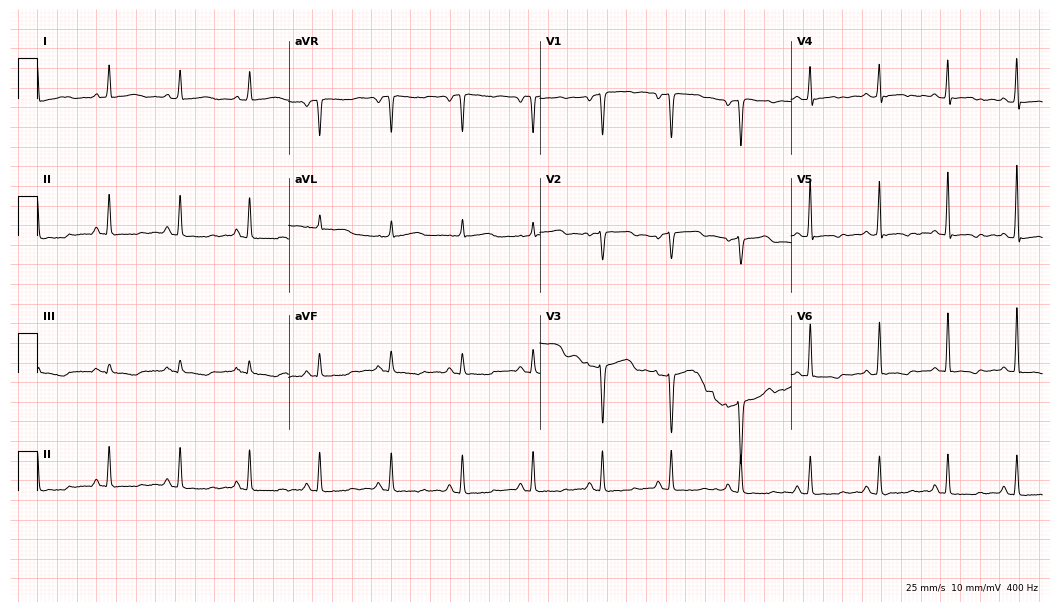
Electrocardiogram, a 56-year-old female. Of the six screened findings (first-degree AV block, right bundle branch block, left bundle branch block, sinus bradycardia, atrial fibrillation, sinus tachycardia), none is recorded.